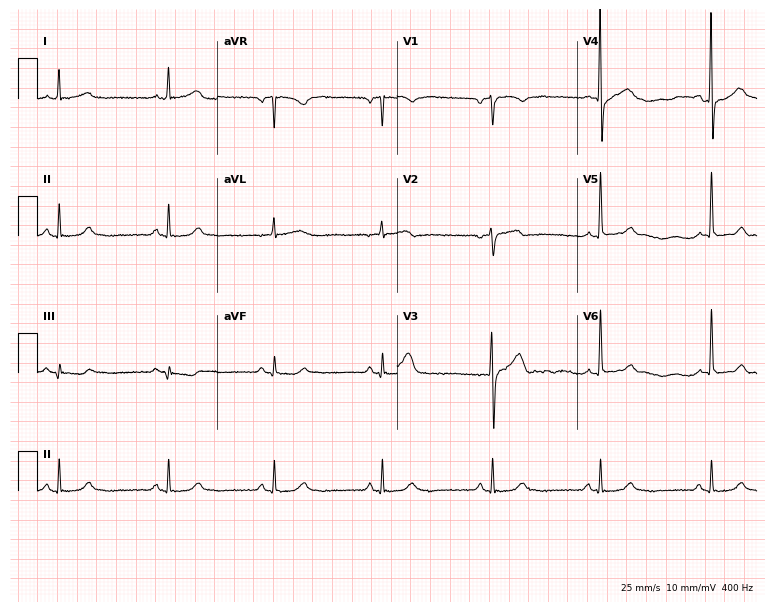
Standard 12-lead ECG recorded from a male, 81 years old. None of these six findings is recorded: first-degree AV block, right bundle branch block (RBBB), left bundle branch block (LBBB), sinus bradycardia, atrial fibrillation (AF), sinus tachycardia.